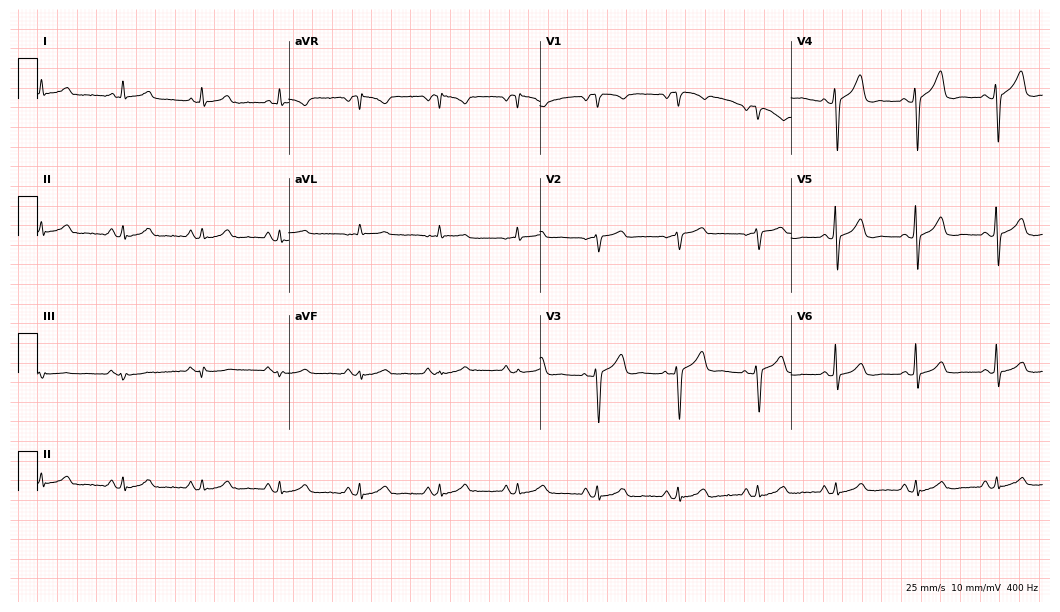
ECG — a 73-year-old man. Screened for six findings — first-degree AV block, right bundle branch block (RBBB), left bundle branch block (LBBB), sinus bradycardia, atrial fibrillation (AF), sinus tachycardia — none is recorded. Other findings, if any, are not listed.